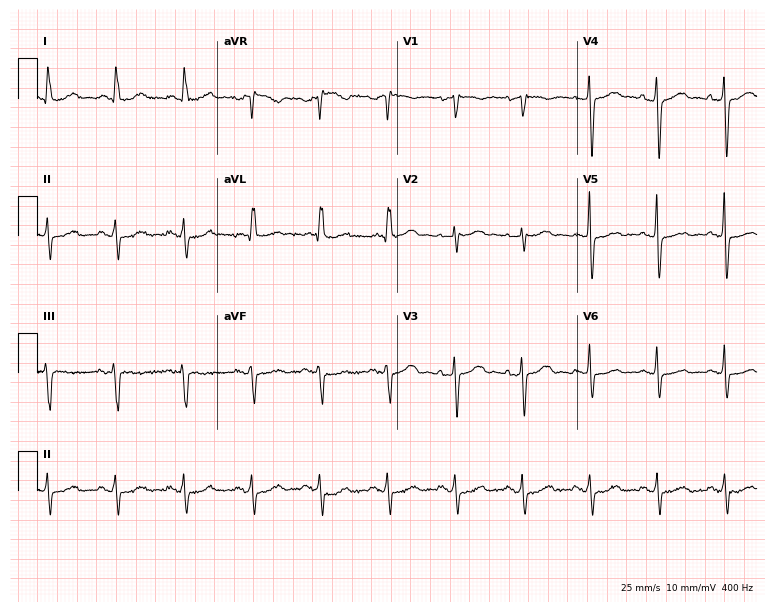
Standard 12-lead ECG recorded from a 62-year-old female. None of these six findings is recorded: first-degree AV block, right bundle branch block (RBBB), left bundle branch block (LBBB), sinus bradycardia, atrial fibrillation (AF), sinus tachycardia. Only these six findings were labelled.